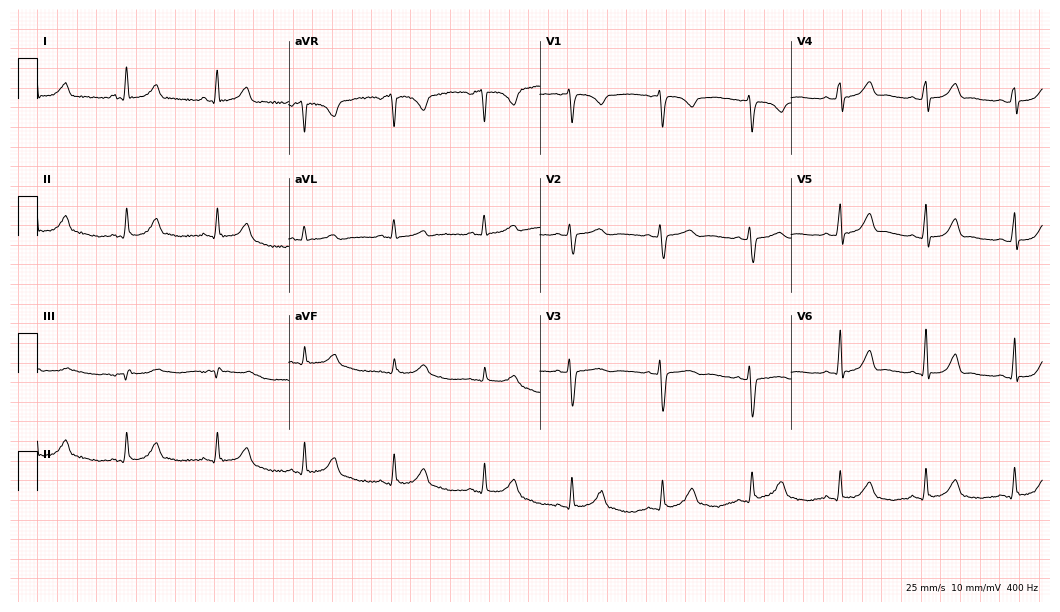
12-lead ECG from a 37-year-old female patient (10.2-second recording at 400 Hz). Recorded interpretation: within normal limits.